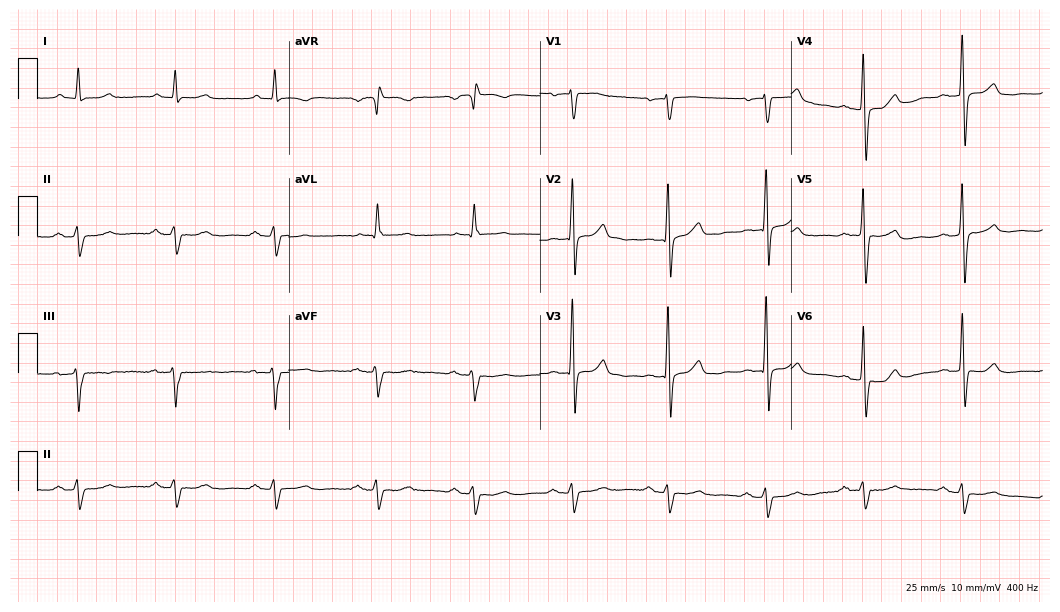
Electrocardiogram, an 85-year-old woman. Of the six screened findings (first-degree AV block, right bundle branch block, left bundle branch block, sinus bradycardia, atrial fibrillation, sinus tachycardia), none is recorded.